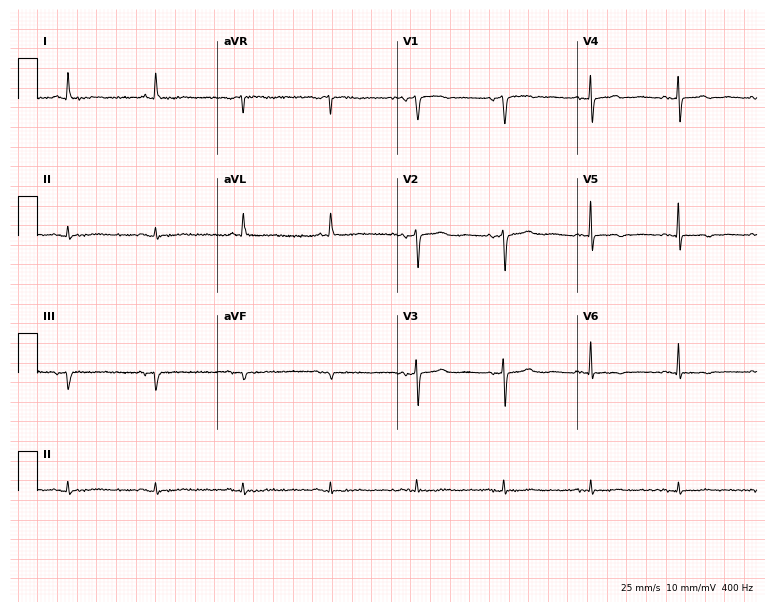
Standard 12-lead ECG recorded from a female, 78 years old. None of these six findings is recorded: first-degree AV block, right bundle branch block, left bundle branch block, sinus bradycardia, atrial fibrillation, sinus tachycardia. Only these six findings were labelled.